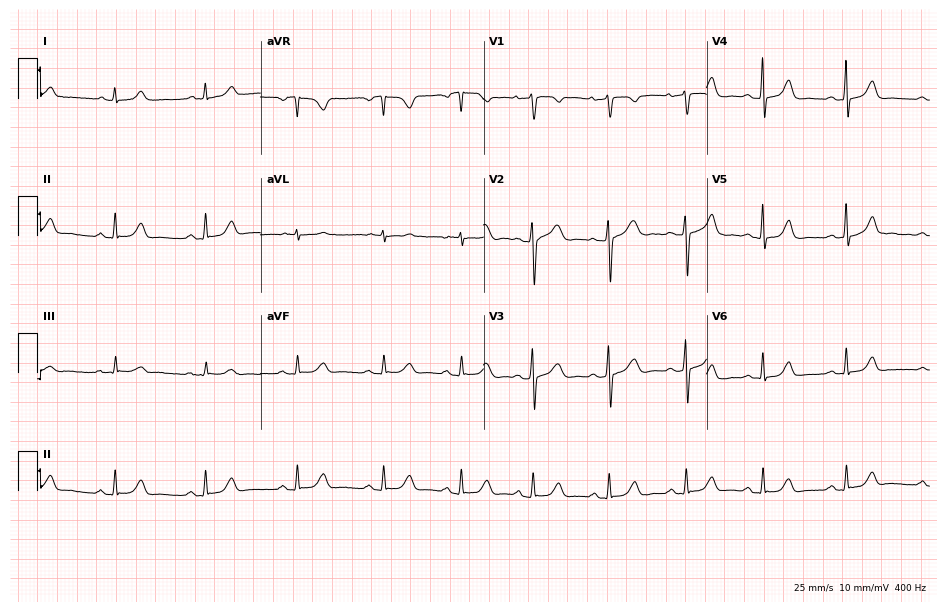
ECG (9.1-second recording at 400 Hz) — a woman, 30 years old. Labelled as a normal ECG.